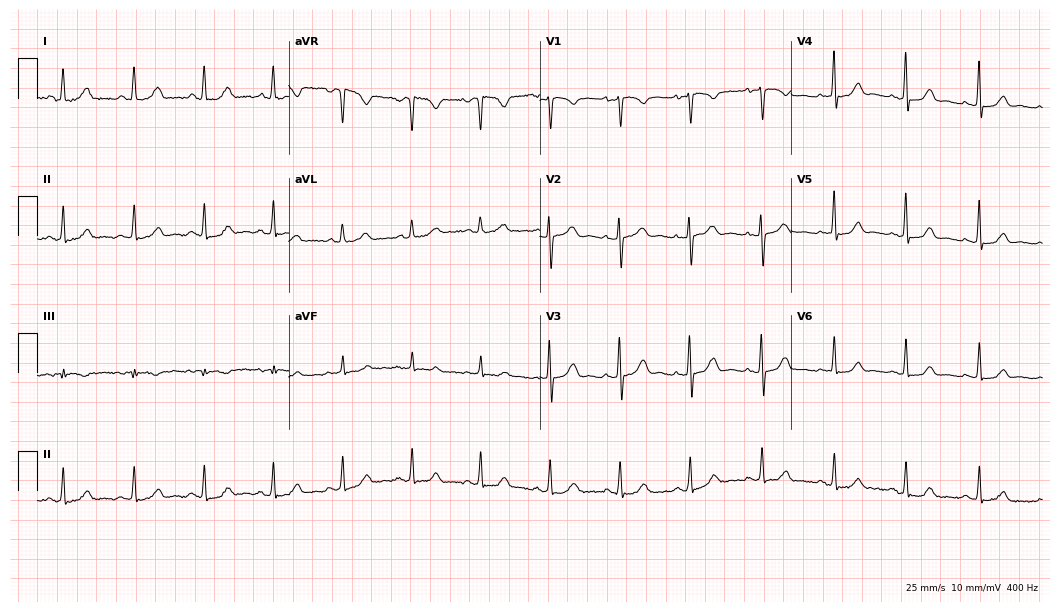
12-lead ECG (10.2-second recording at 400 Hz) from a 41-year-old woman. Labelled as a normal ECG.